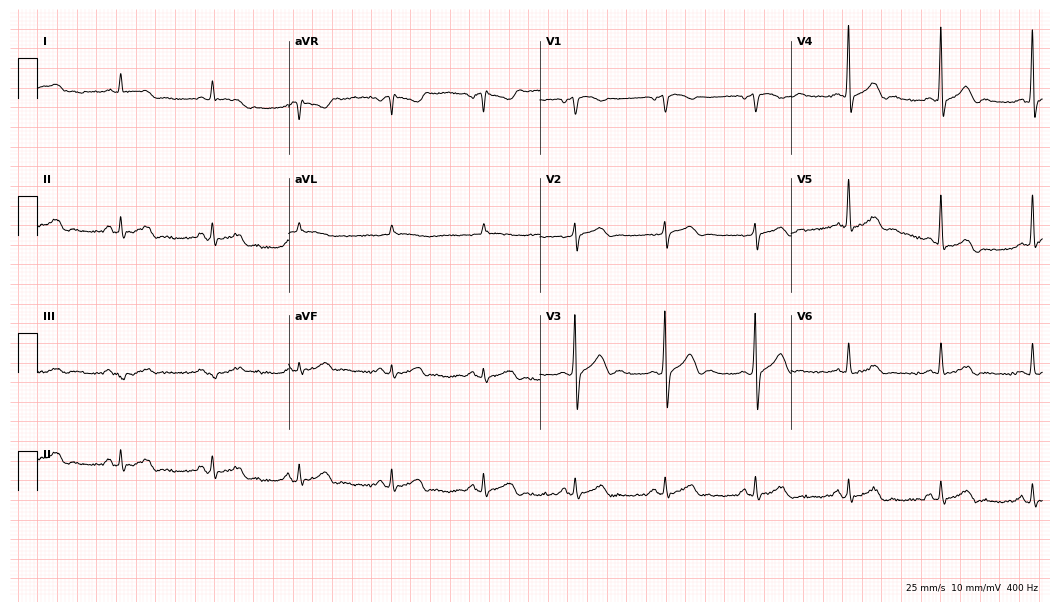
12-lead ECG (10.2-second recording at 400 Hz) from an 81-year-old man. Labelled as a normal ECG.